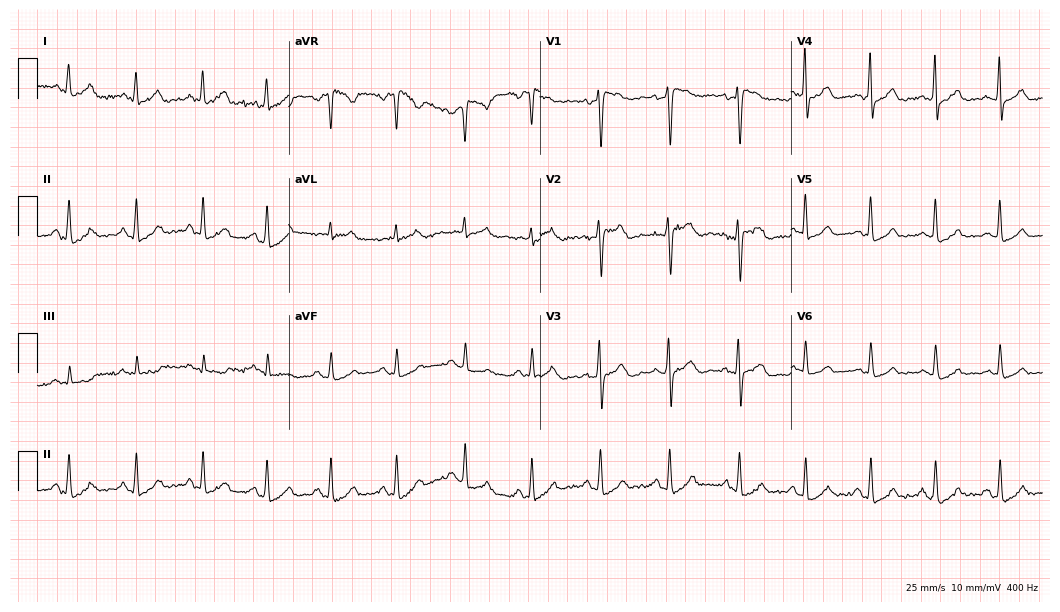
12-lead ECG from a female, 42 years old. Screened for six findings — first-degree AV block, right bundle branch block, left bundle branch block, sinus bradycardia, atrial fibrillation, sinus tachycardia — none is recorded. Other findings, if any, are not listed.